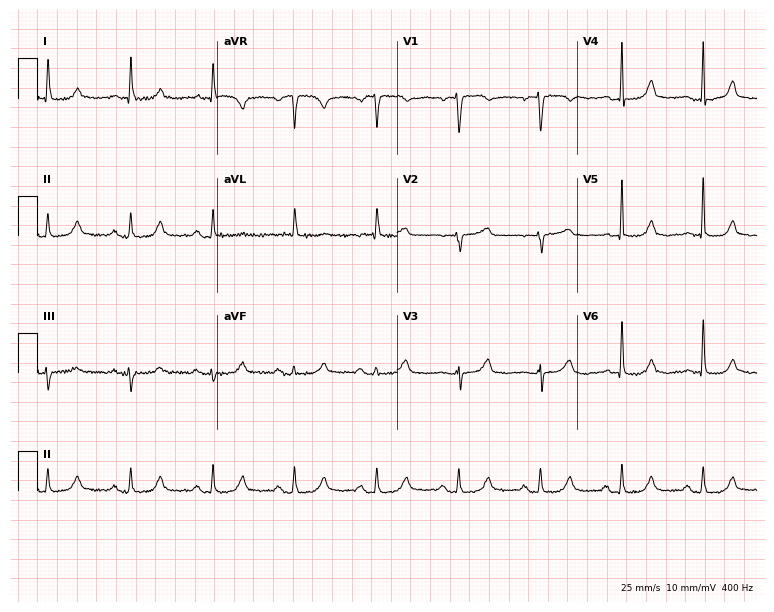
12-lead ECG (7.3-second recording at 400 Hz) from a 78-year-old female. Labelled as a normal ECG.